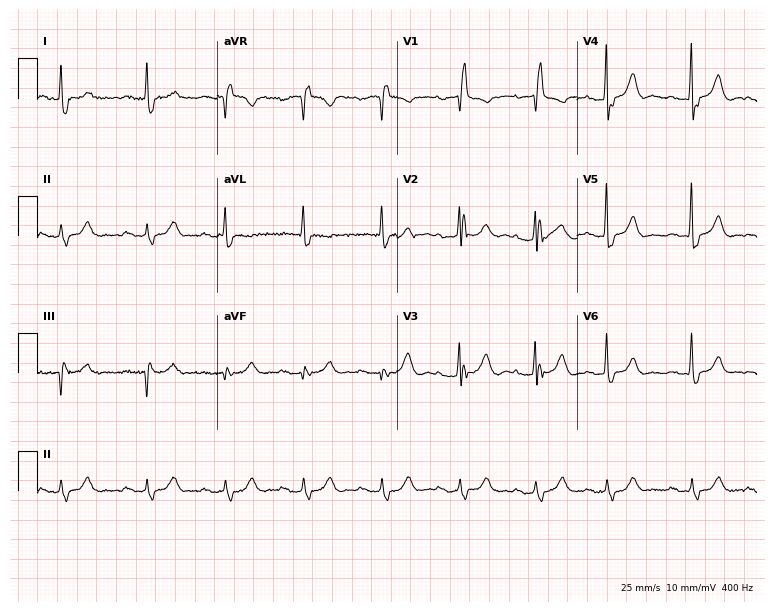
ECG — a female, 80 years old. Findings include right bundle branch block (RBBB).